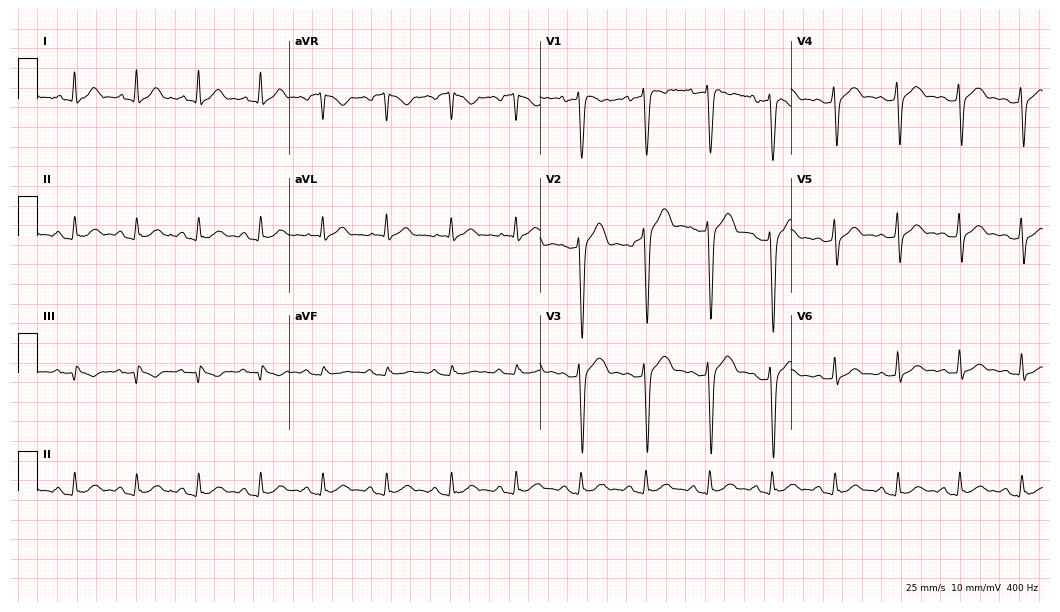
Standard 12-lead ECG recorded from a 30-year-old man (10.2-second recording at 400 Hz). None of these six findings is recorded: first-degree AV block, right bundle branch block, left bundle branch block, sinus bradycardia, atrial fibrillation, sinus tachycardia. Only these six findings were labelled.